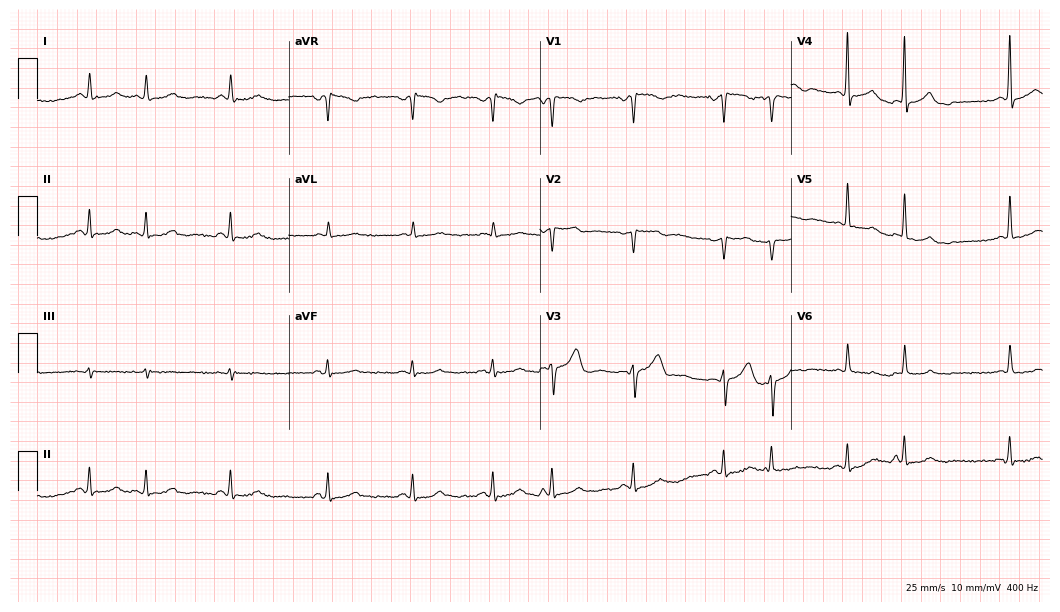
12-lead ECG from a 78-year-old woman. Screened for six findings — first-degree AV block, right bundle branch block, left bundle branch block, sinus bradycardia, atrial fibrillation, sinus tachycardia — none is recorded. Only these six findings were labelled.